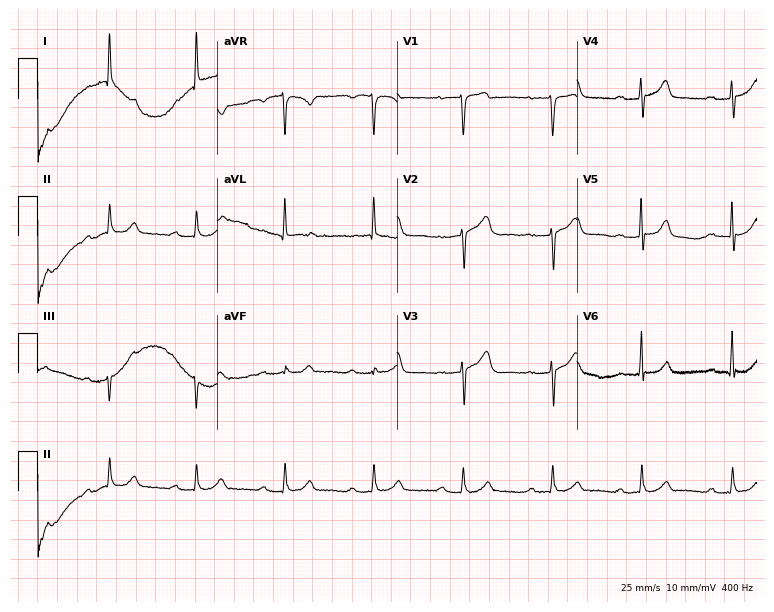
12-lead ECG (7.3-second recording at 400 Hz) from a 68-year-old man. Findings include first-degree AV block.